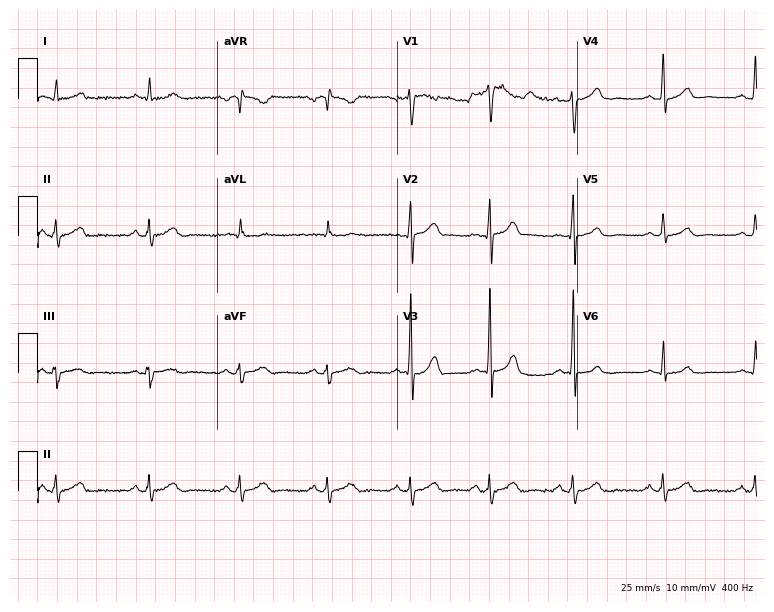
ECG — a male patient, 39 years old. Labelled as a normal ECG.